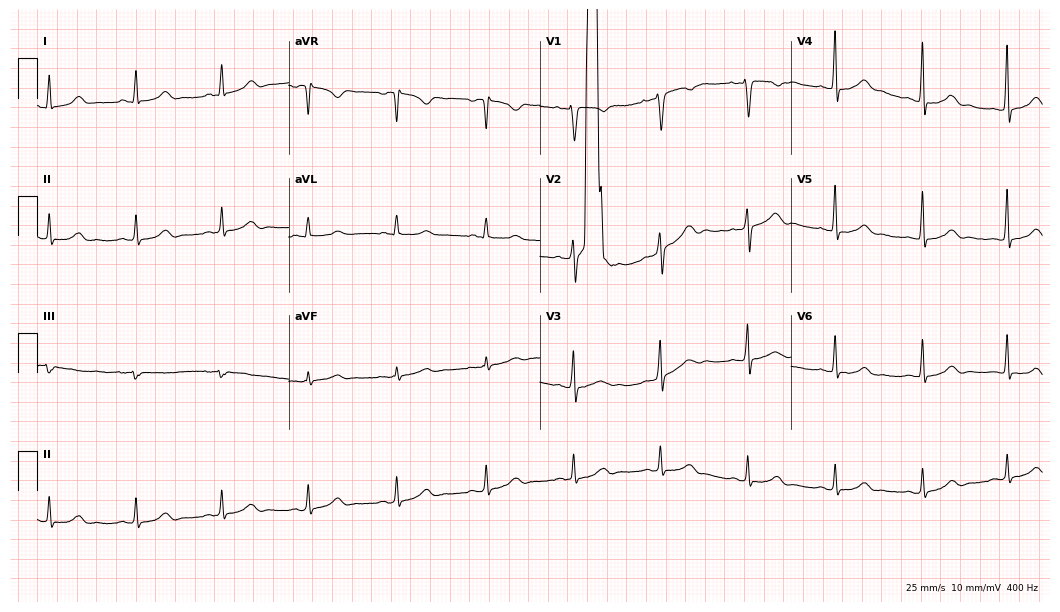
12-lead ECG from a 37-year-old woman (10.2-second recording at 400 Hz). Recorded interpretation: within normal limits.